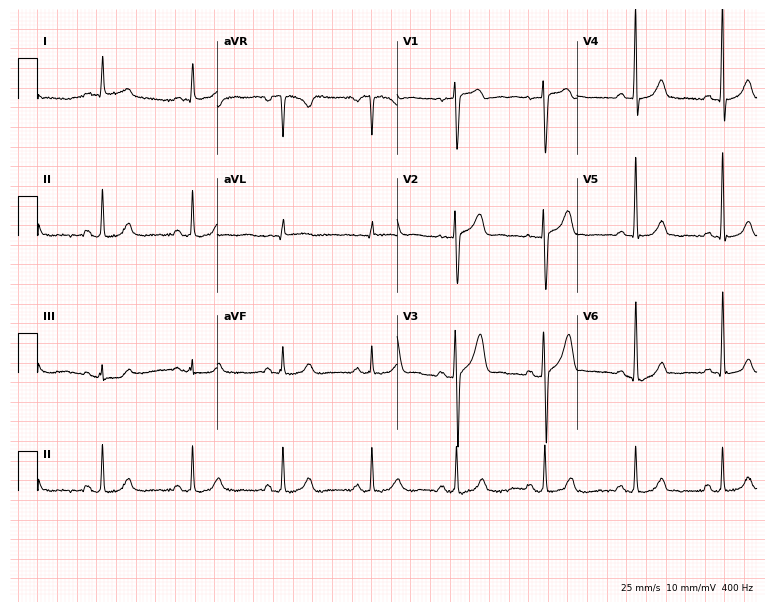
12-lead ECG from a 40-year-old man (7.3-second recording at 400 Hz). No first-degree AV block, right bundle branch block, left bundle branch block, sinus bradycardia, atrial fibrillation or sinus tachycardia recorded for this tracing.